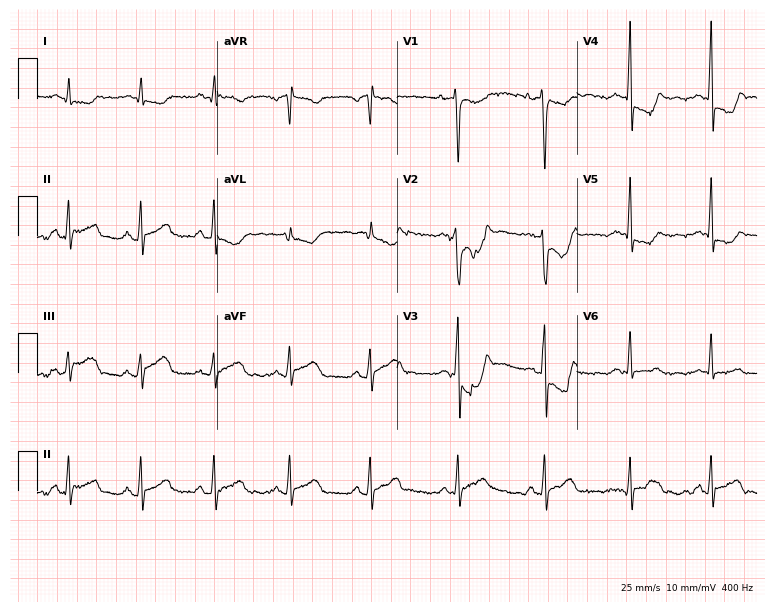
ECG — a man, 47 years old. Screened for six findings — first-degree AV block, right bundle branch block, left bundle branch block, sinus bradycardia, atrial fibrillation, sinus tachycardia — none is recorded.